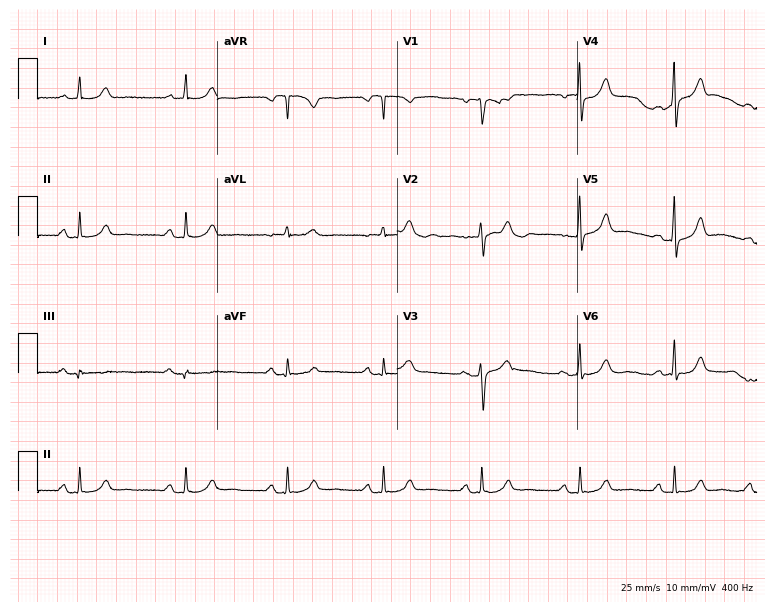
12-lead ECG from a 52-year-old woman (7.3-second recording at 400 Hz). No first-degree AV block, right bundle branch block (RBBB), left bundle branch block (LBBB), sinus bradycardia, atrial fibrillation (AF) or sinus tachycardia recorded for this tracing. Findings outside these six are not listed.